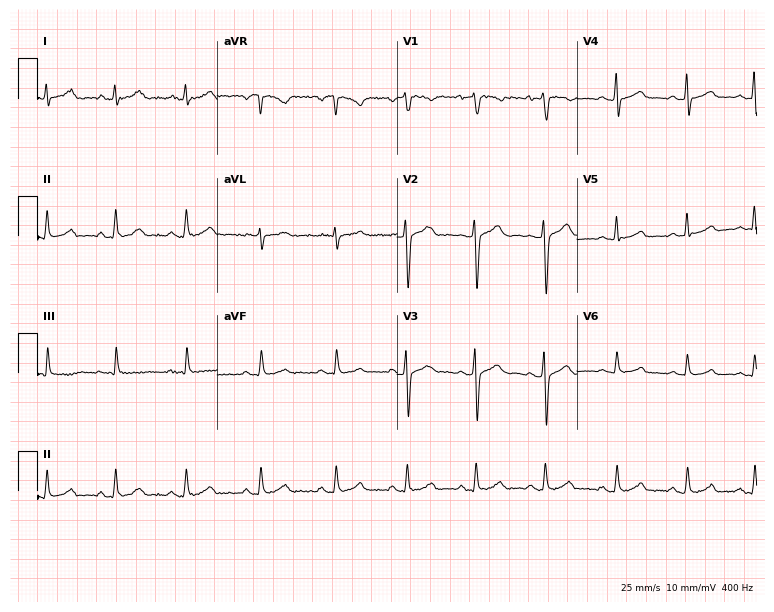
12-lead ECG (7.3-second recording at 400 Hz) from a woman, 32 years old. Screened for six findings — first-degree AV block, right bundle branch block (RBBB), left bundle branch block (LBBB), sinus bradycardia, atrial fibrillation (AF), sinus tachycardia — none is recorded.